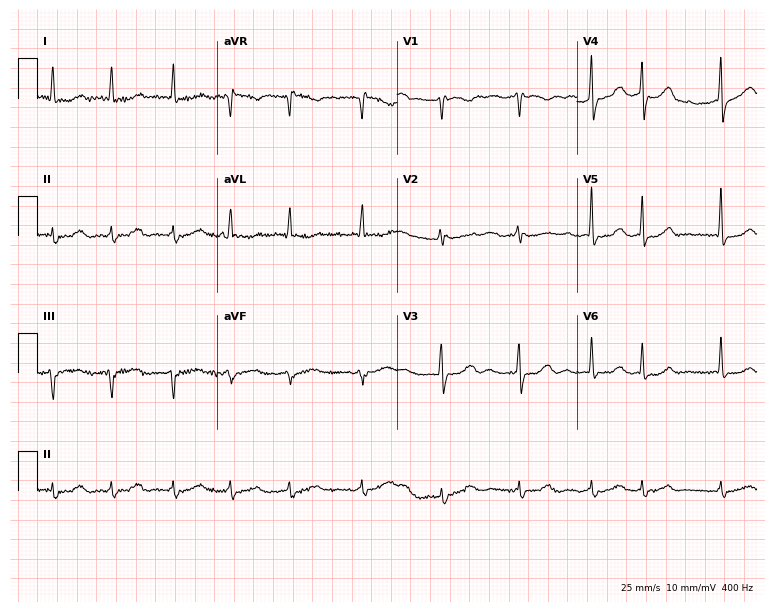
Electrocardiogram (7.3-second recording at 400 Hz), a 73-year-old woman. Of the six screened findings (first-degree AV block, right bundle branch block (RBBB), left bundle branch block (LBBB), sinus bradycardia, atrial fibrillation (AF), sinus tachycardia), none is recorded. Findings outside these six are not listed.